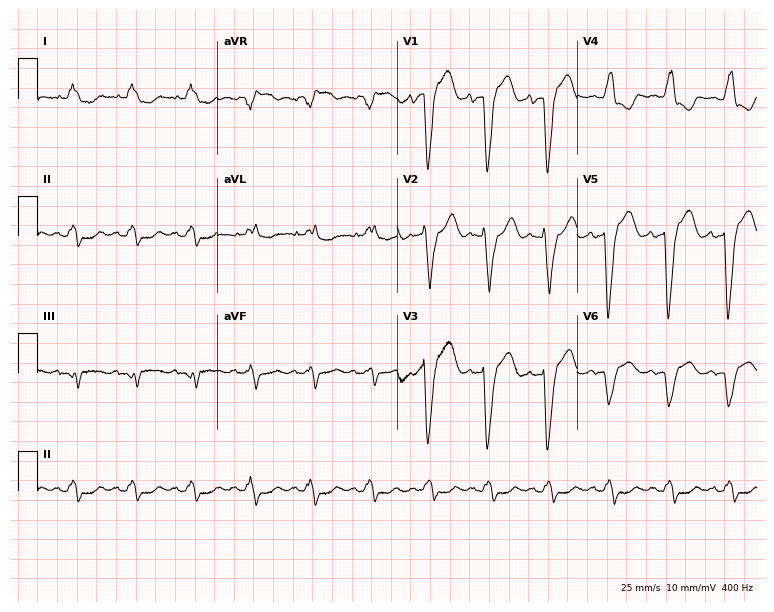
Standard 12-lead ECG recorded from a woman, 80 years old (7.3-second recording at 400 Hz). The tracing shows left bundle branch block.